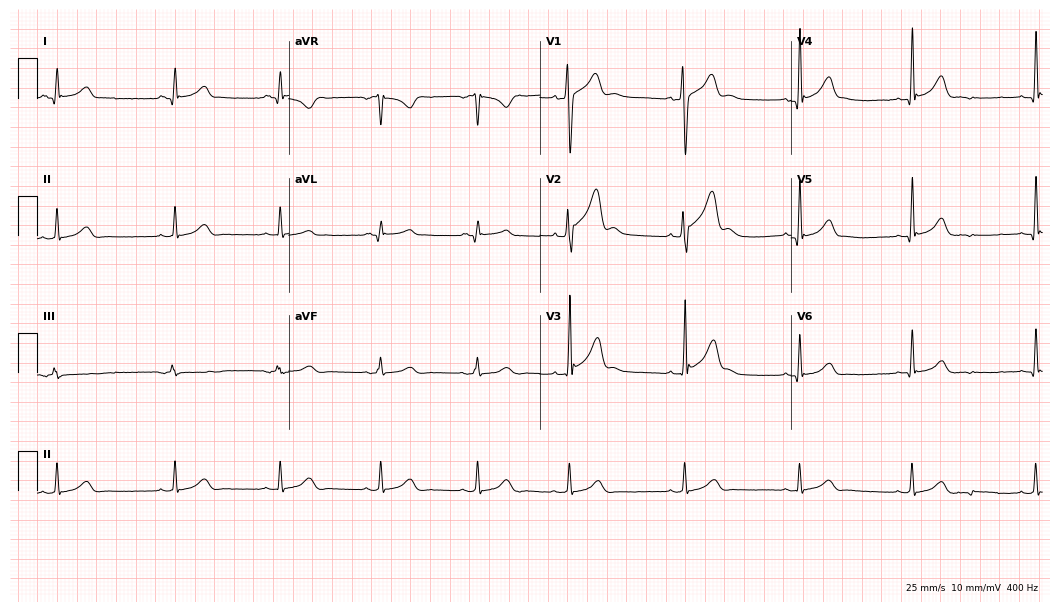
12-lead ECG from a male patient, 23 years old (10.2-second recording at 400 Hz). No first-degree AV block, right bundle branch block (RBBB), left bundle branch block (LBBB), sinus bradycardia, atrial fibrillation (AF) or sinus tachycardia recorded for this tracing. Other findings, if any, are not listed.